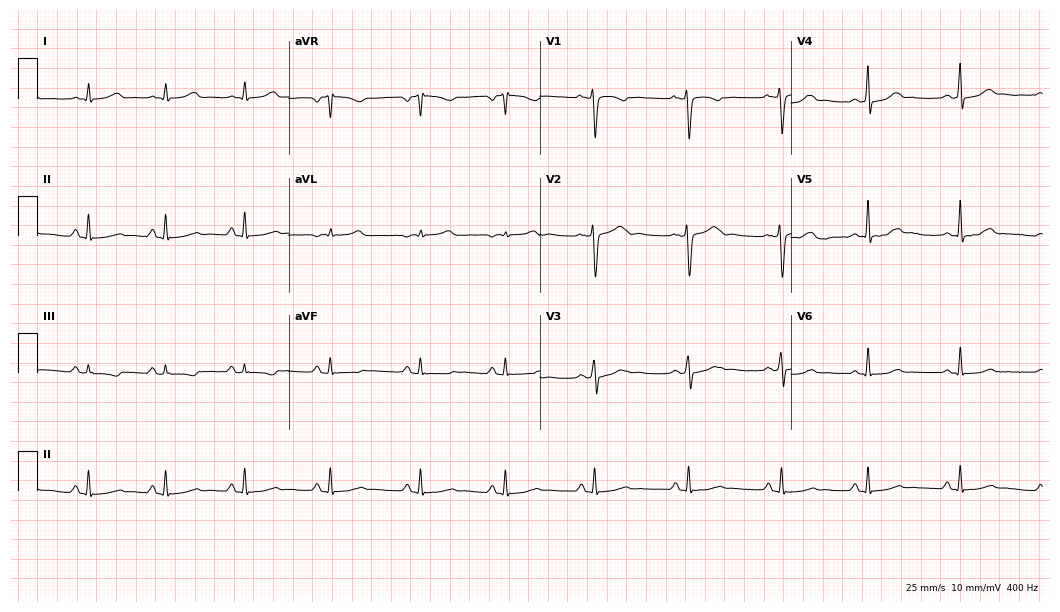
12-lead ECG from a 28-year-old female. Labelled as a normal ECG.